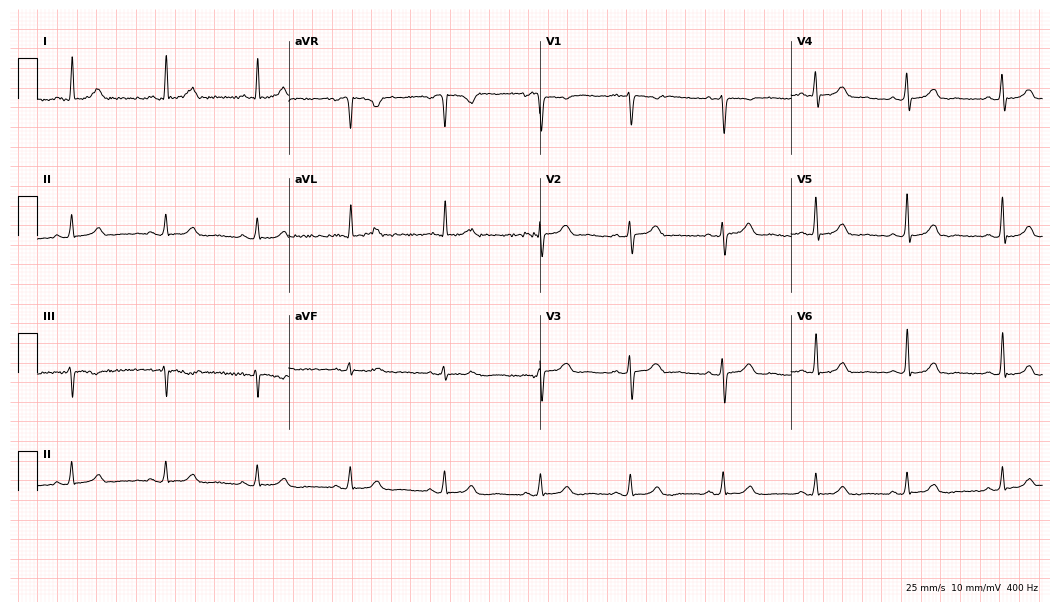
12-lead ECG from a female, 53 years old. Screened for six findings — first-degree AV block, right bundle branch block (RBBB), left bundle branch block (LBBB), sinus bradycardia, atrial fibrillation (AF), sinus tachycardia — none is recorded.